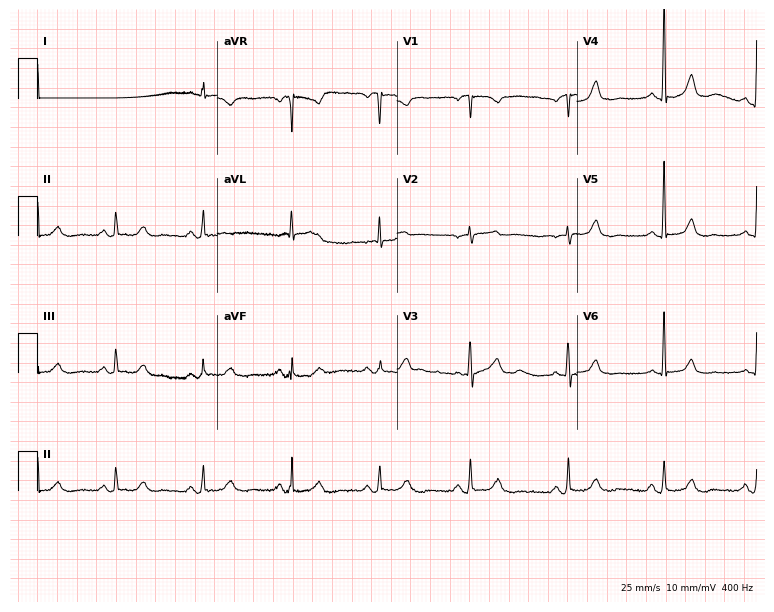
ECG — a 65-year-old female. Screened for six findings — first-degree AV block, right bundle branch block, left bundle branch block, sinus bradycardia, atrial fibrillation, sinus tachycardia — none is recorded.